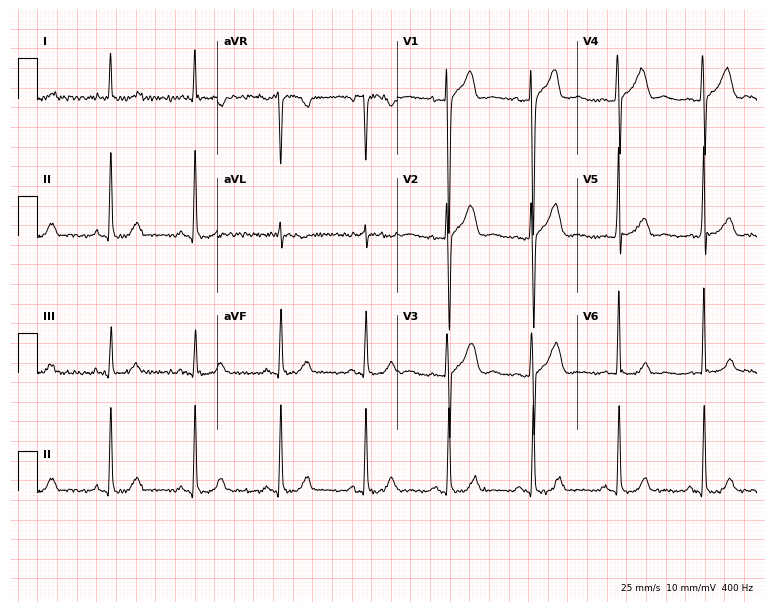
12-lead ECG from a 49-year-old male patient. No first-degree AV block, right bundle branch block (RBBB), left bundle branch block (LBBB), sinus bradycardia, atrial fibrillation (AF) or sinus tachycardia recorded for this tracing.